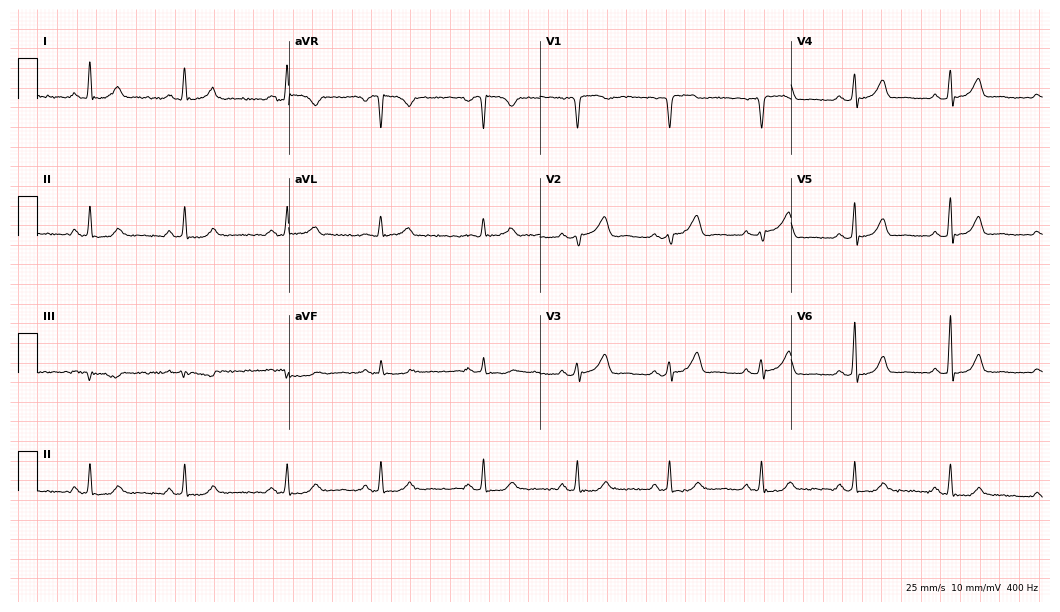
12-lead ECG from a 60-year-old man. Recorded interpretation: within normal limits.